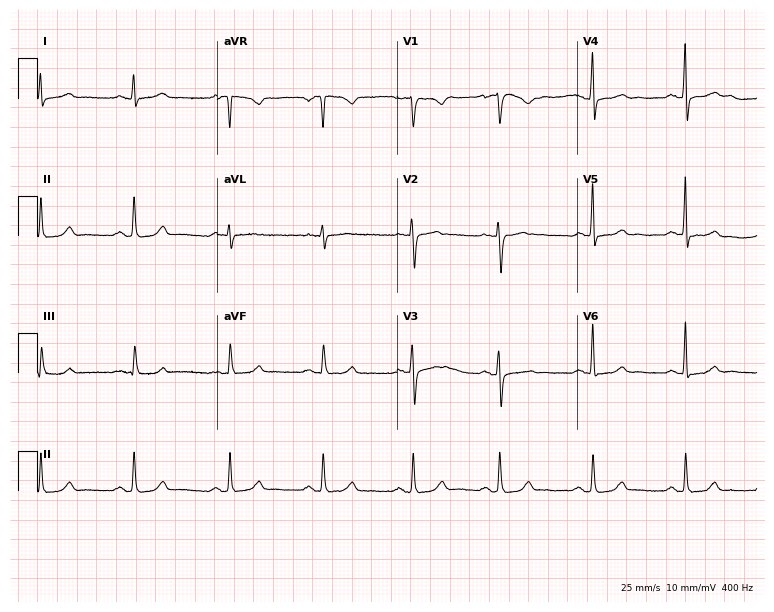
Standard 12-lead ECG recorded from a female patient, 41 years old (7.3-second recording at 400 Hz). Read as a normal ECG.